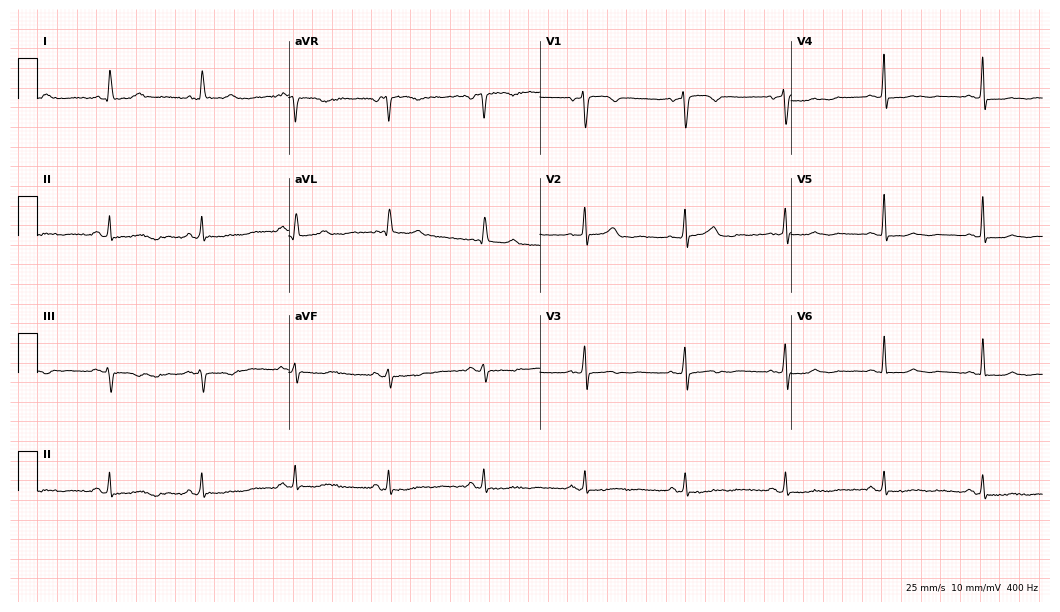
Resting 12-lead electrocardiogram. Patient: a female, 70 years old. Read as a normal ECG.